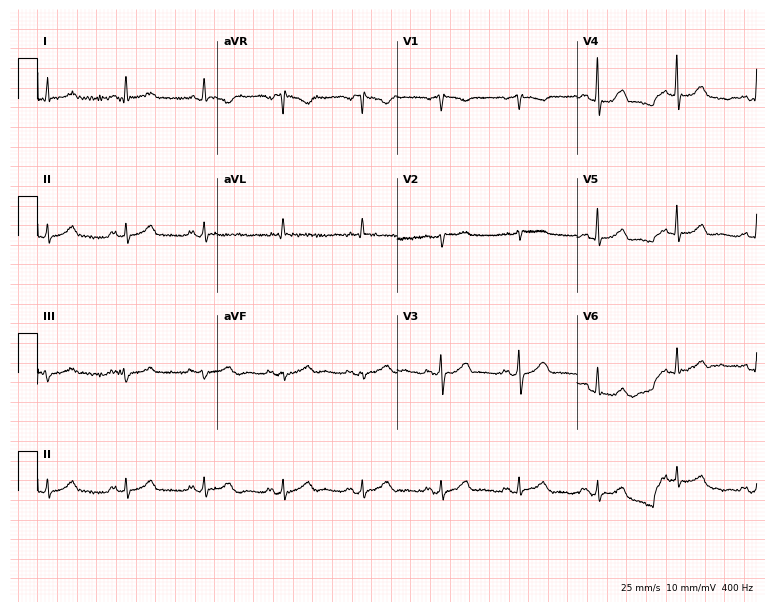
12-lead ECG (7.3-second recording at 400 Hz) from a female patient, 77 years old. Labelled as a normal ECG.